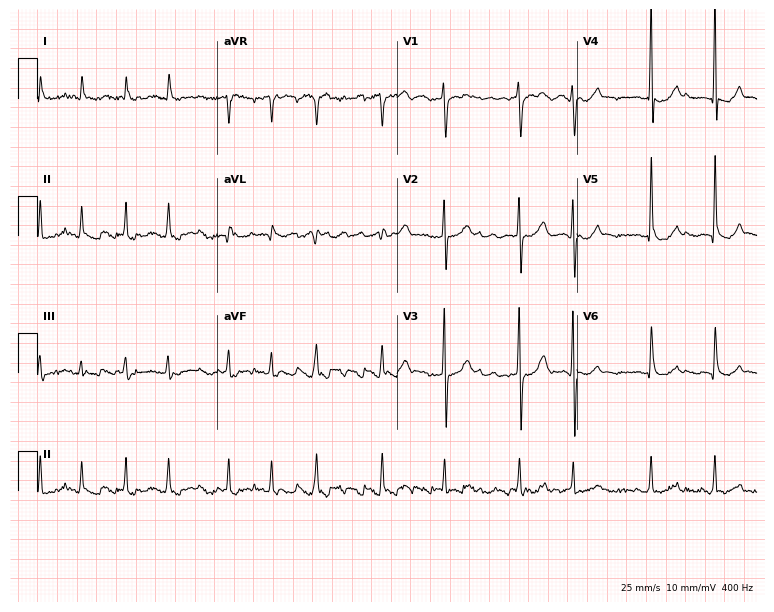
Electrocardiogram (7.3-second recording at 400 Hz), a 68-year-old male. Interpretation includes atrial fibrillation.